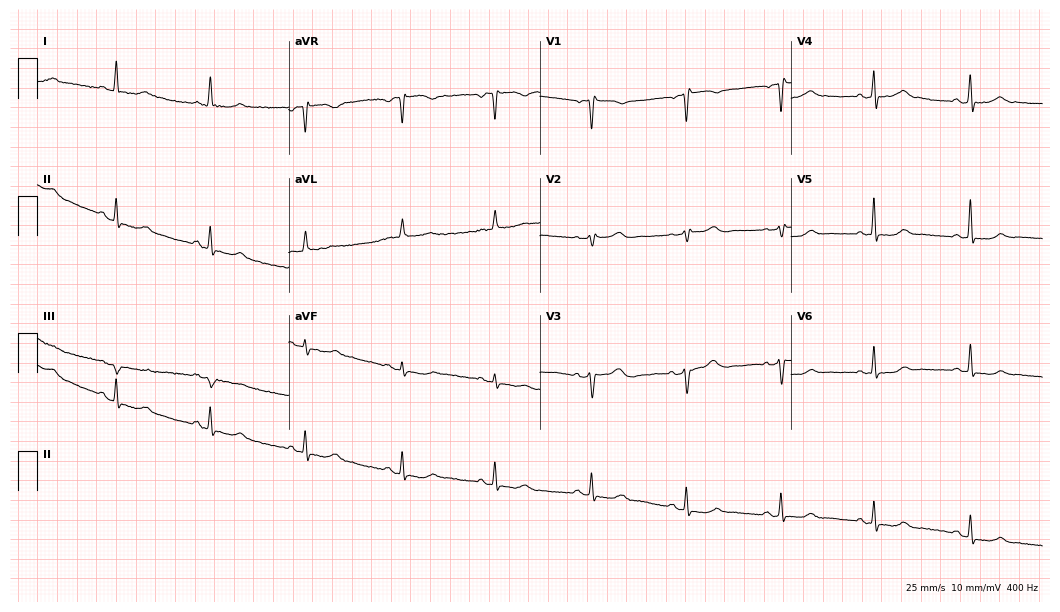
12-lead ECG (10.2-second recording at 400 Hz) from a 70-year-old female. Screened for six findings — first-degree AV block, right bundle branch block, left bundle branch block, sinus bradycardia, atrial fibrillation, sinus tachycardia — none is recorded.